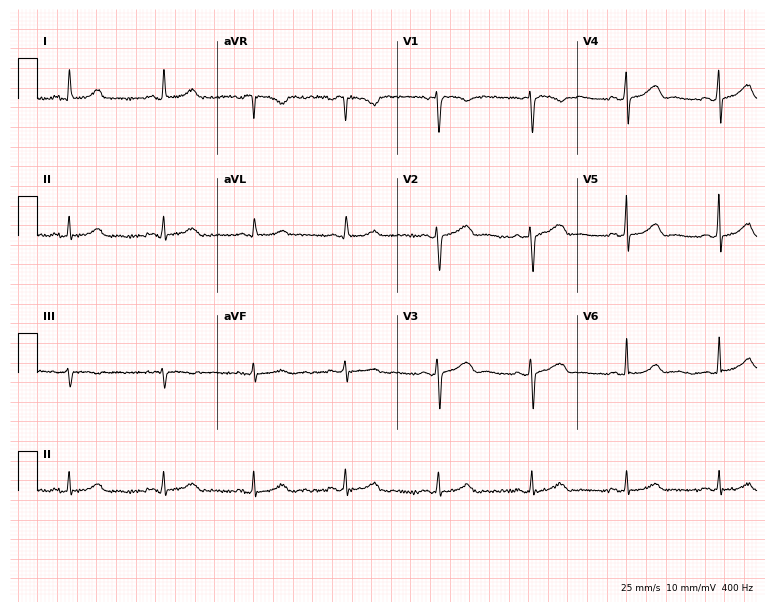
12-lead ECG (7.3-second recording at 400 Hz) from a female patient, 48 years old. Labelled as a normal ECG.